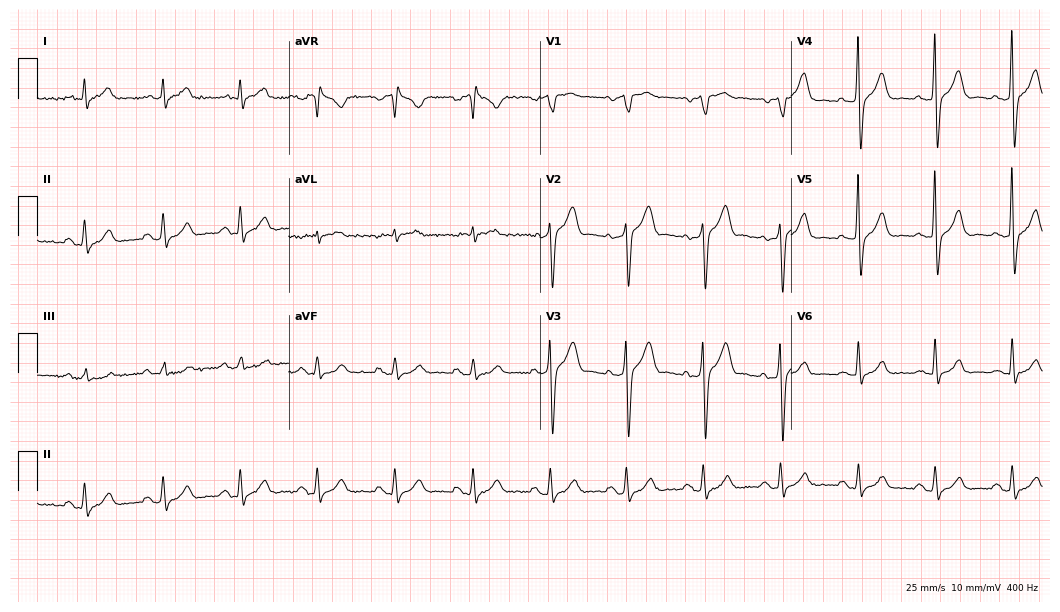
Resting 12-lead electrocardiogram (10.2-second recording at 400 Hz). Patient: a 60-year-old male. None of these six findings is recorded: first-degree AV block, right bundle branch block (RBBB), left bundle branch block (LBBB), sinus bradycardia, atrial fibrillation (AF), sinus tachycardia.